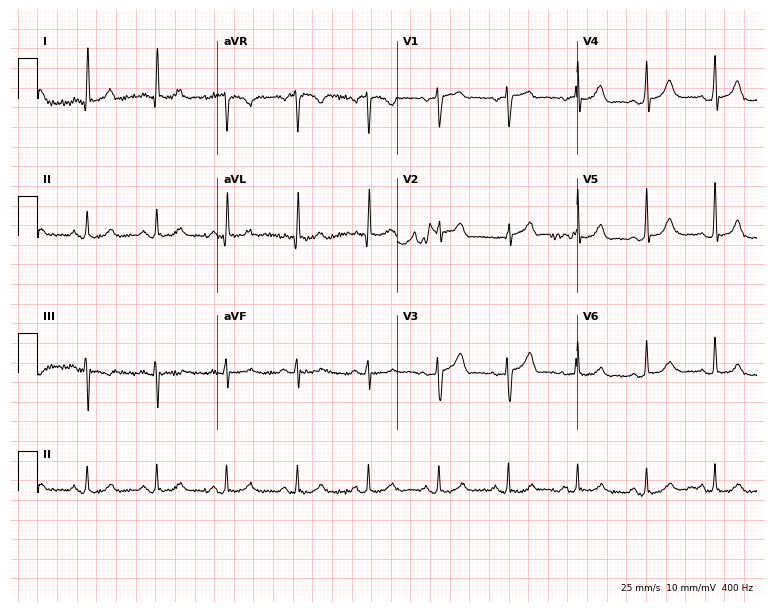
12-lead ECG (7.3-second recording at 400 Hz) from a man, 58 years old. Labelled as a normal ECG.